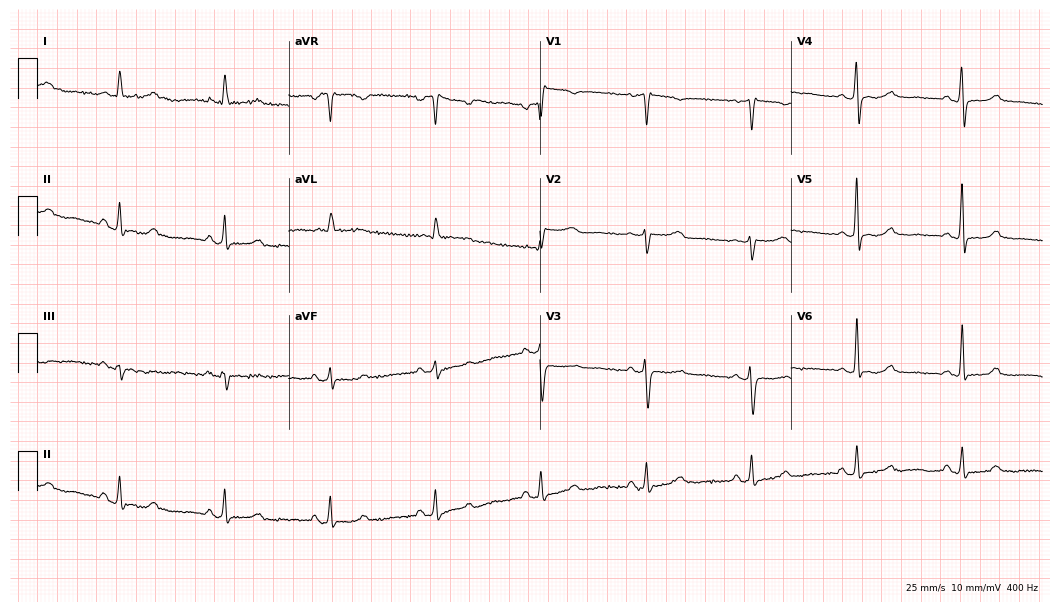
12-lead ECG from a woman, 69 years old. No first-degree AV block, right bundle branch block (RBBB), left bundle branch block (LBBB), sinus bradycardia, atrial fibrillation (AF) or sinus tachycardia recorded for this tracing. Other findings, if any, are not listed.